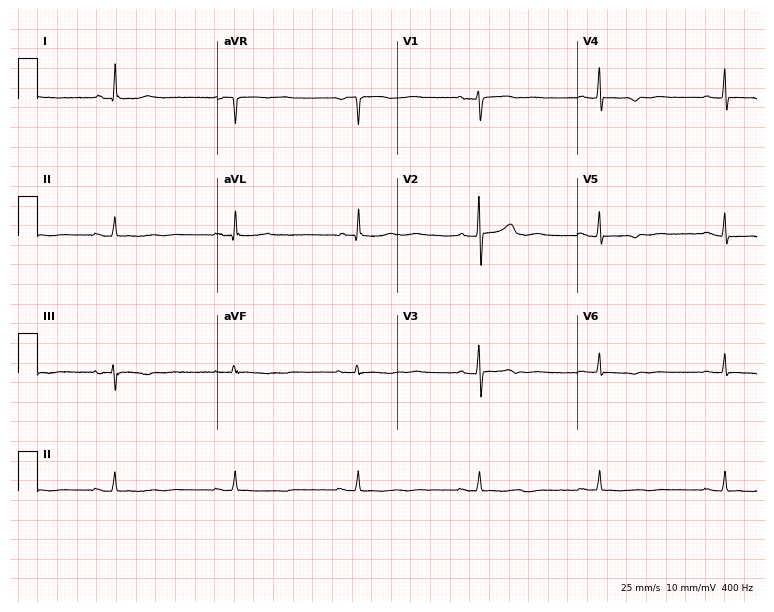
Electrocardiogram (7.3-second recording at 400 Hz), a female, 55 years old. Of the six screened findings (first-degree AV block, right bundle branch block, left bundle branch block, sinus bradycardia, atrial fibrillation, sinus tachycardia), none is recorded. Other findings, if any, are not listed.